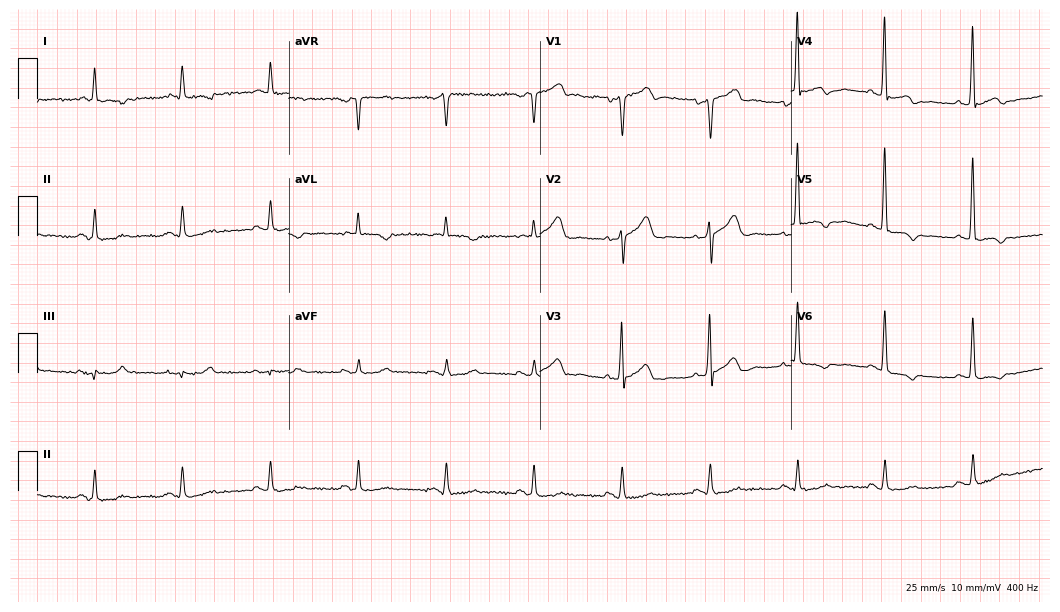
Electrocardiogram (10.2-second recording at 400 Hz), a 70-year-old male. Of the six screened findings (first-degree AV block, right bundle branch block (RBBB), left bundle branch block (LBBB), sinus bradycardia, atrial fibrillation (AF), sinus tachycardia), none is recorded.